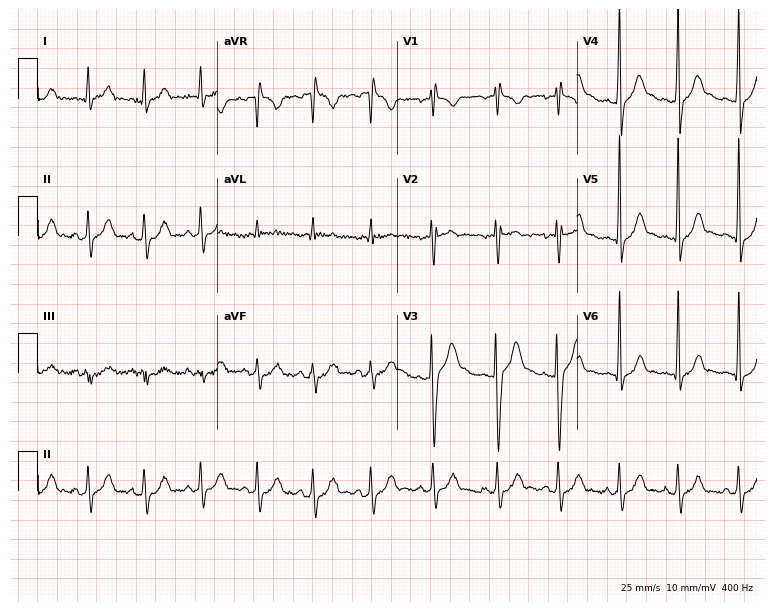
ECG — a 17-year-old man. Screened for six findings — first-degree AV block, right bundle branch block (RBBB), left bundle branch block (LBBB), sinus bradycardia, atrial fibrillation (AF), sinus tachycardia — none is recorded. Findings outside these six are not listed.